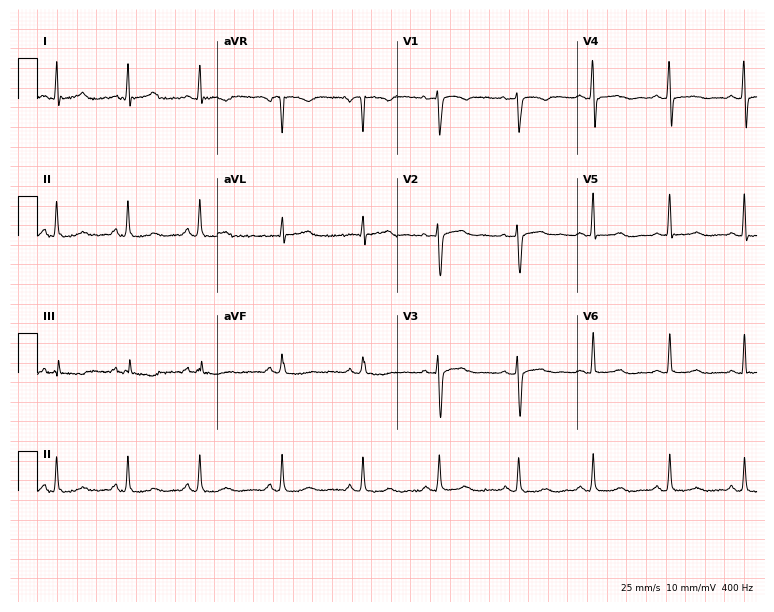
12-lead ECG from a 31-year-old woman. No first-degree AV block, right bundle branch block, left bundle branch block, sinus bradycardia, atrial fibrillation or sinus tachycardia recorded for this tracing. Other findings, if any, are not listed.